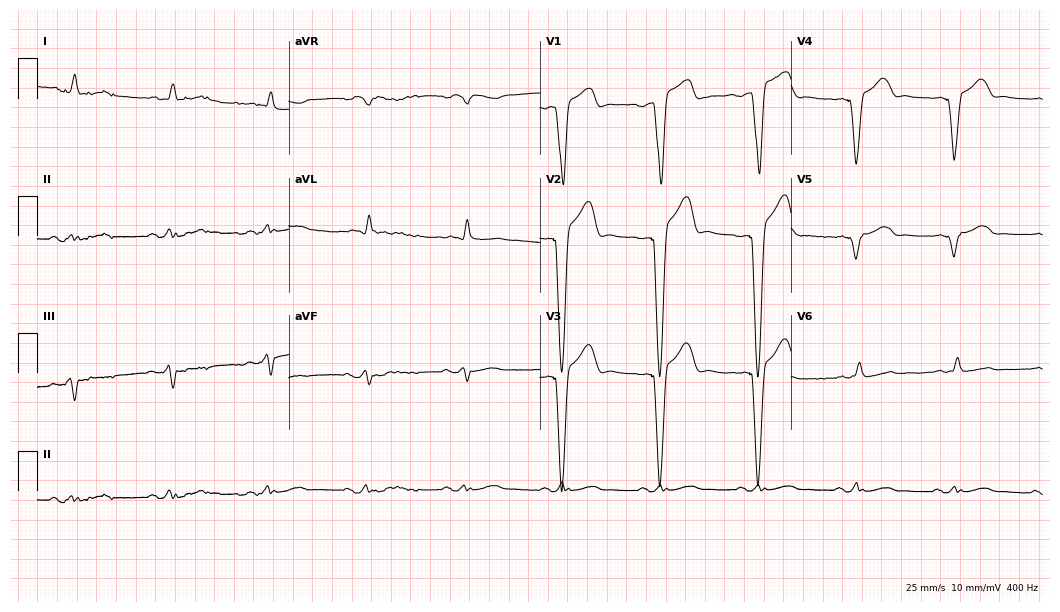
12-lead ECG from a male, 55 years old. Screened for six findings — first-degree AV block, right bundle branch block, left bundle branch block, sinus bradycardia, atrial fibrillation, sinus tachycardia — none is recorded. Only these six findings were labelled.